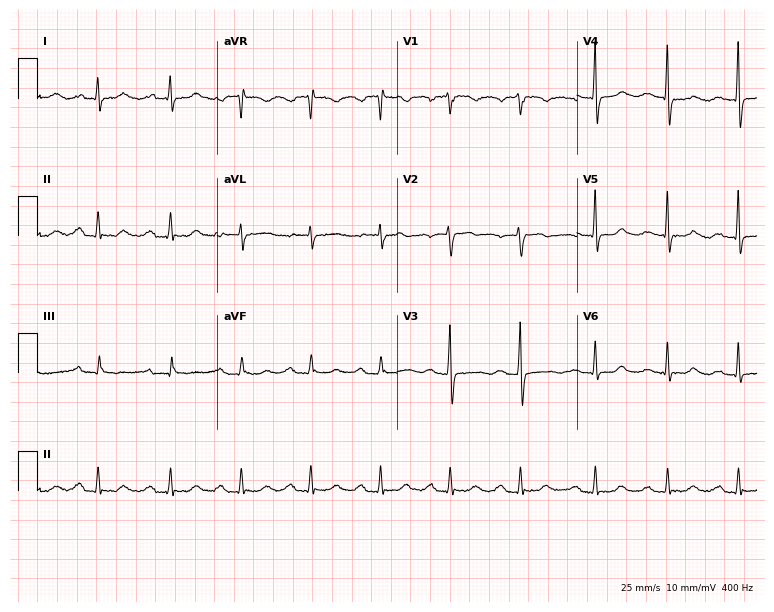
Standard 12-lead ECG recorded from a 48-year-old female patient (7.3-second recording at 400 Hz). Read as a normal ECG.